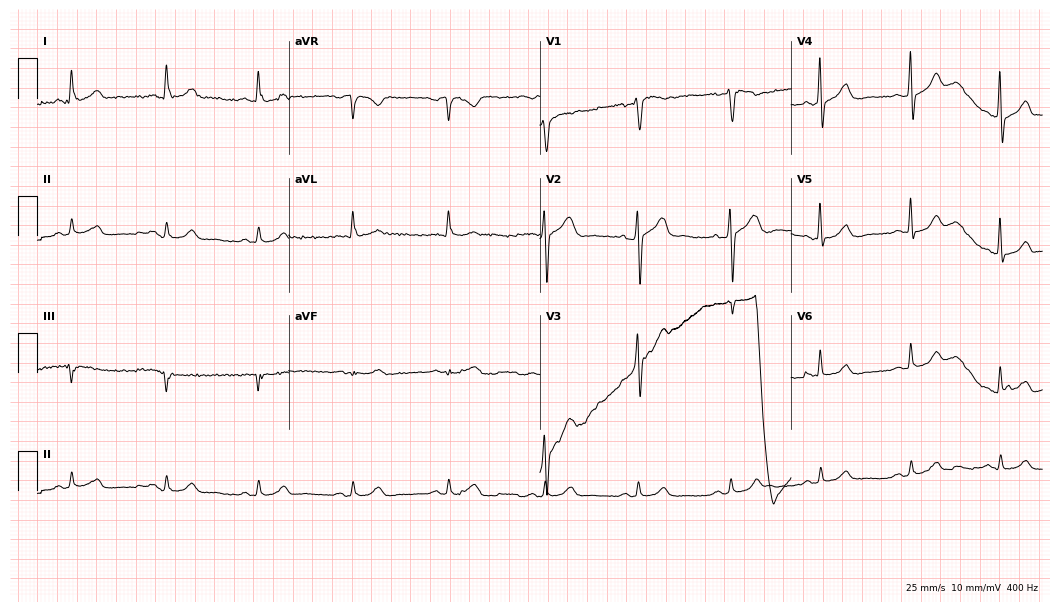
Standard 12-lead ECG recorded from a male patient, 49 years old. Read as a normal ECG.